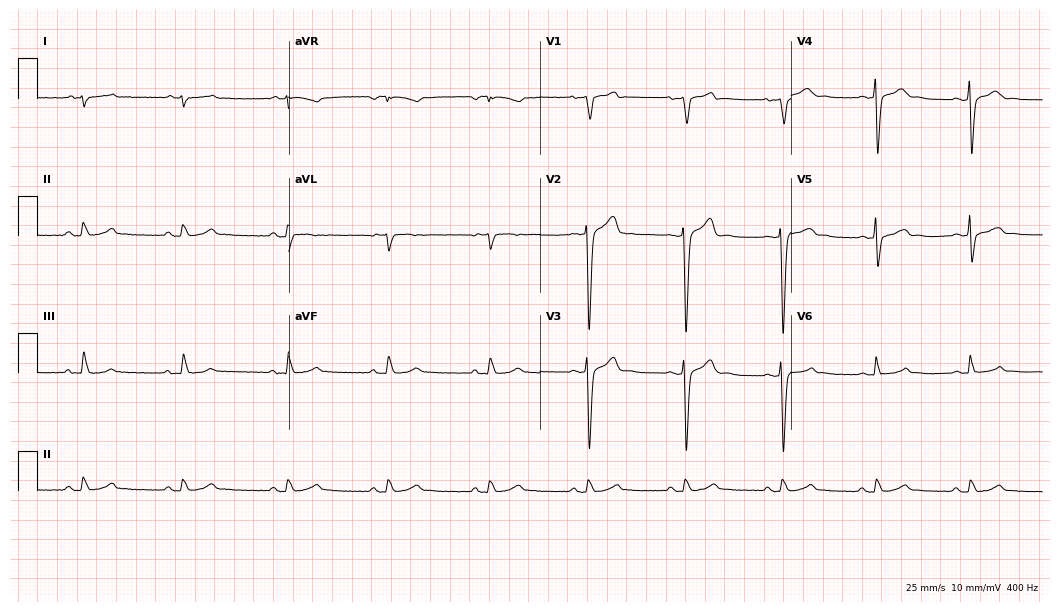
Standard 12-lead ECG recorded from a 46-year-old man (10.2-second recording at 400 Hz). None of these six findings is recorded: first-degree AV block, right bundle branch block, left bundle branch block, sinus bradycardia, atrial fibrillation, sinus tachycardia.